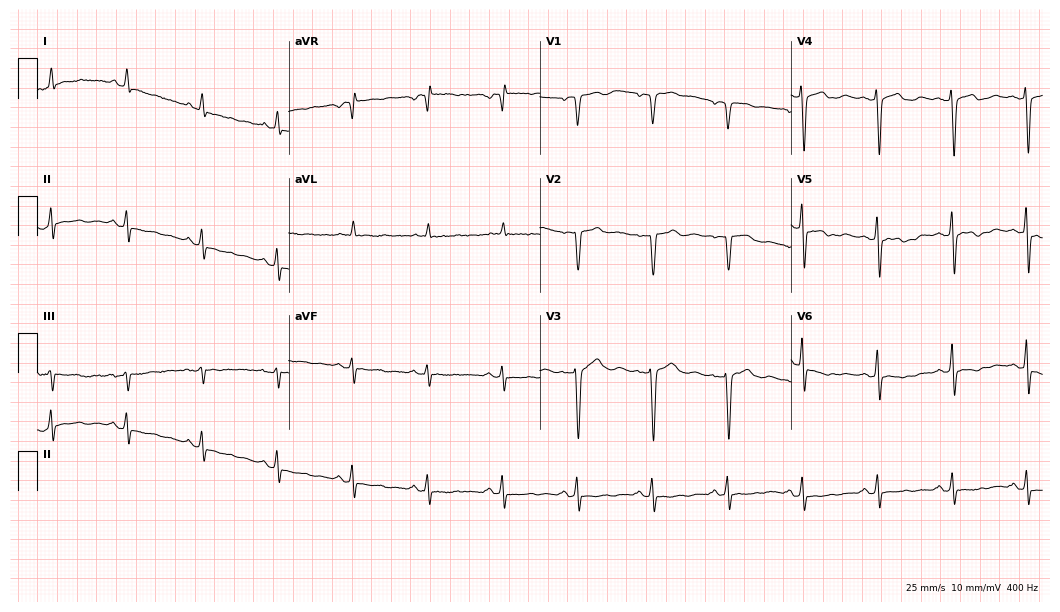
Resting 12-lead electrocardiogram. Patient: a 46-year-old female. None of these six findings is recorded: first-degree AV block, right bundle branch block, left bundle branch block, sinus bradycardia, atrial fibrillation, sinus tachycardia.